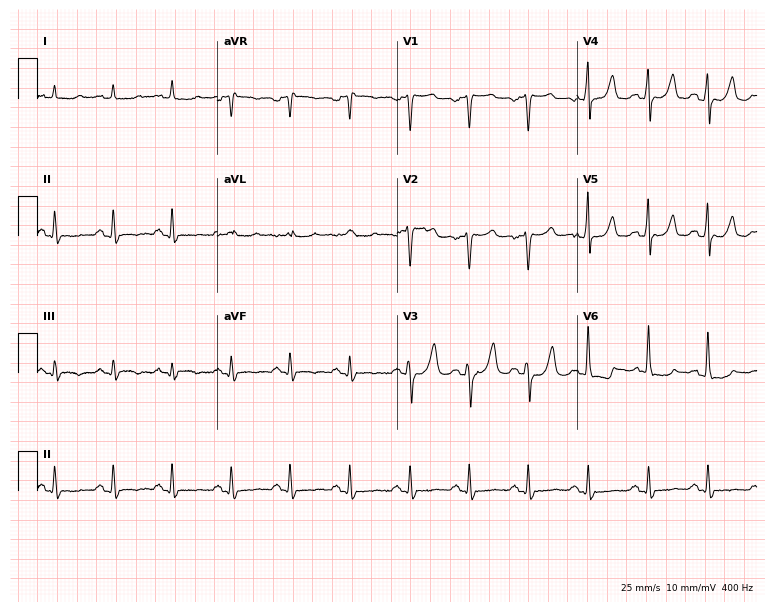
Standard 12-lead ECG recorded from a woman, 58 years old (7.3-second recording at 400 Hz). None of these six findings is recorded: first-degree AV block, right bundle branch block (RBBB), left bundle branch block (LBBB), sinus bradycardia, atrial fibrillation (AF), sinus tachycardia.